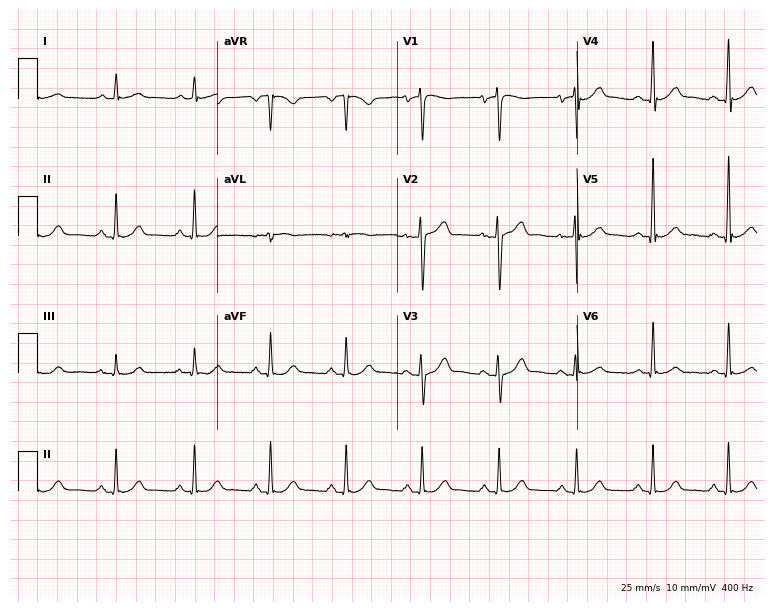
Standard 12-lead ECG recorded from a 47-year-old male patient. None of these six findings is recorded: first-degree AV block, right bundle branch block (RBBB), left bundle branch block (LBBB), sinus bradycardia, atrial fibrillation (AF), sinus tachycardia.